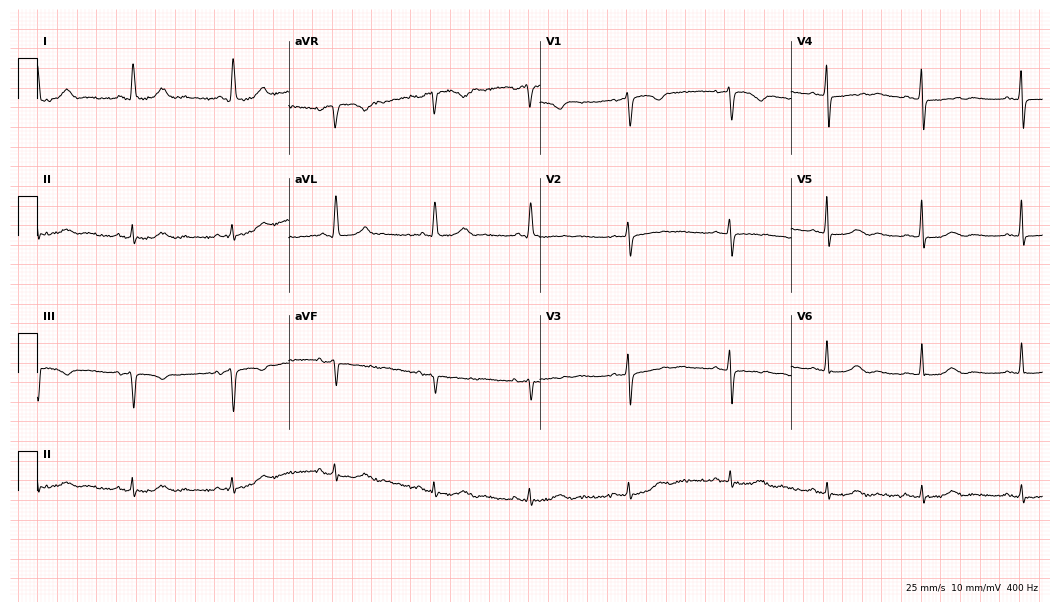
Resting 12-lead electrocardiogram. Patient: a 70-year-old female. None of these six findings is recorded: first-degree AV block, right bundle branch block, left bundle branch block, sinus bradycardia, atrial fibrillation, sinus tachycardia. Other findings, if any, are not listed.